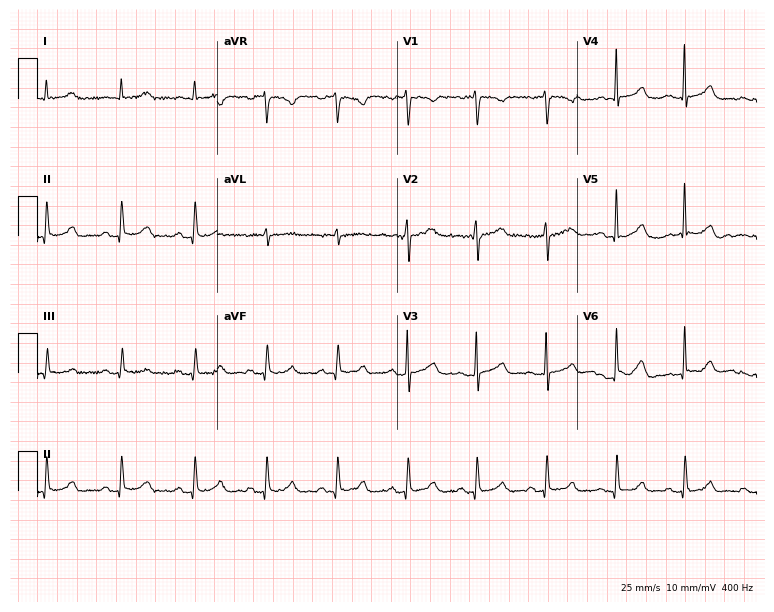
Resting 12-lead electrocardiogram (7.3-second recording at 400 Hz). Patient: a 37-year-old female. None of these six findings is recorded: first-degree AV block, right bundle branch block, left bundle branch block, sinus bradycardia, atrial fibrillation, sinus tachycardia.